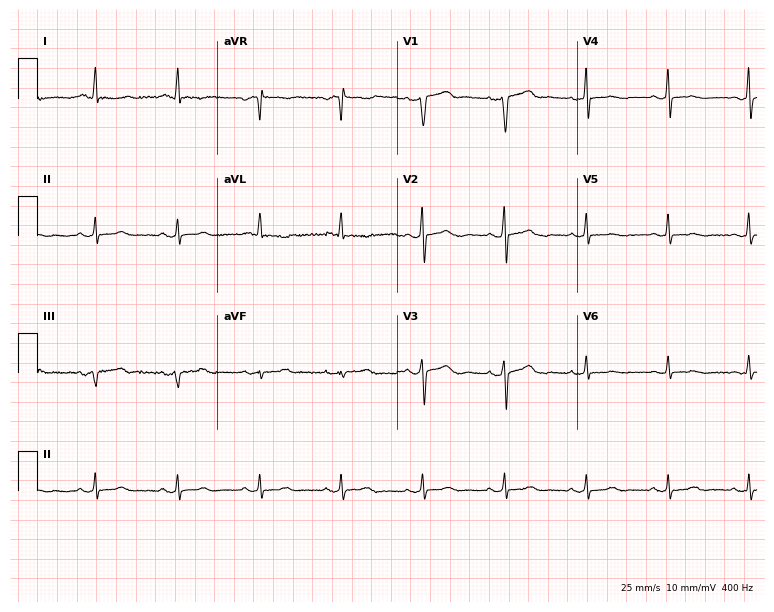
12-lead ECG from a 79-year-old female. No first-degree AV block, right bundle branch block, left bundle branch block, sinus bradycardia, atrial fibrillation or sinus tachycardia recorded for this tracing. Findings outside these six are not listed.